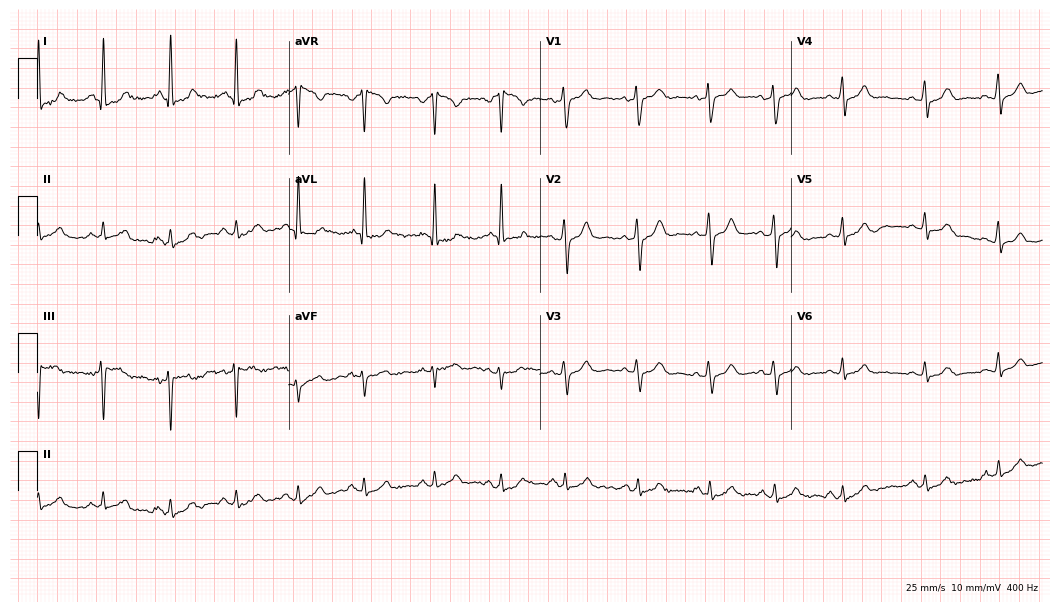
Resting 12-lead electrocardiogram. Patient: a 64-year-old female. Read as a normal ECG.